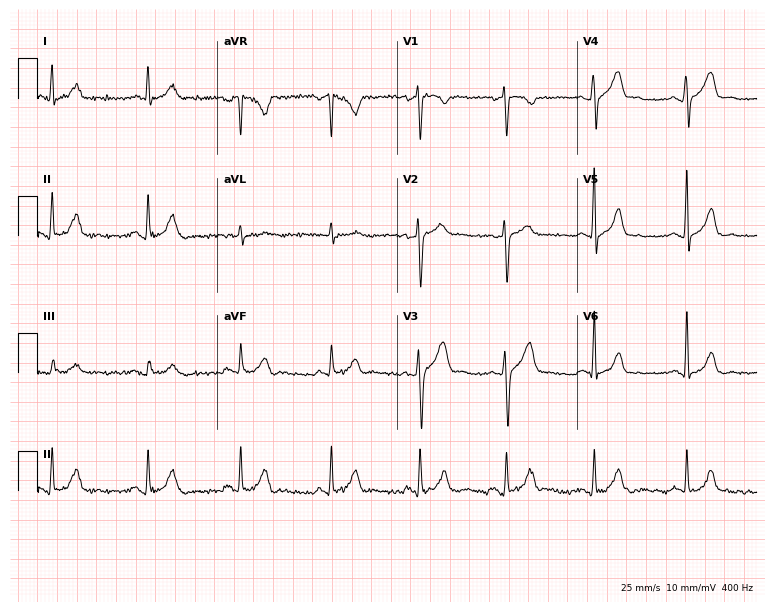
12-lead ECG from a 38-year-old male. Labelled as a normal ECG.